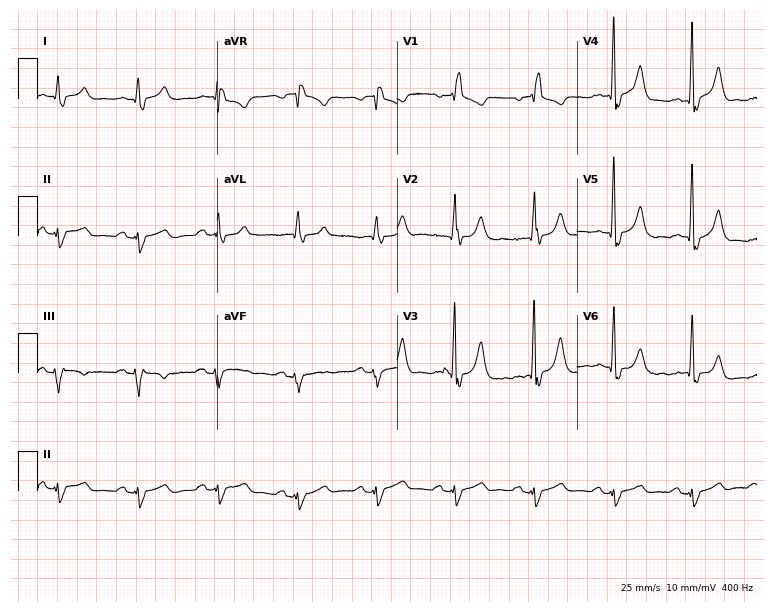
12-lead ECG from a man, 75 years old (7.3-second recording at 400 Hz). Shows right bundle branch block.